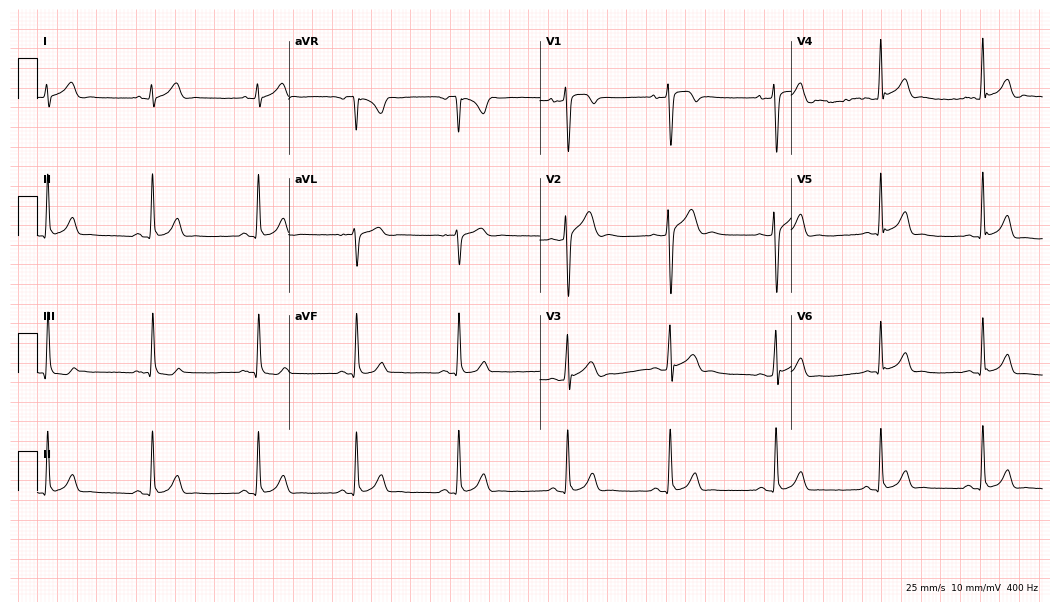
Standard 12-lead ECG recorded from a man, 22 years old. None of these six findings is recorded: first-degree AV block, right bundle branch block, left bundle branch block, sinus bradycardia, atrial fibrillation, sinus tachycardia. Other findings, if any, are not listed.